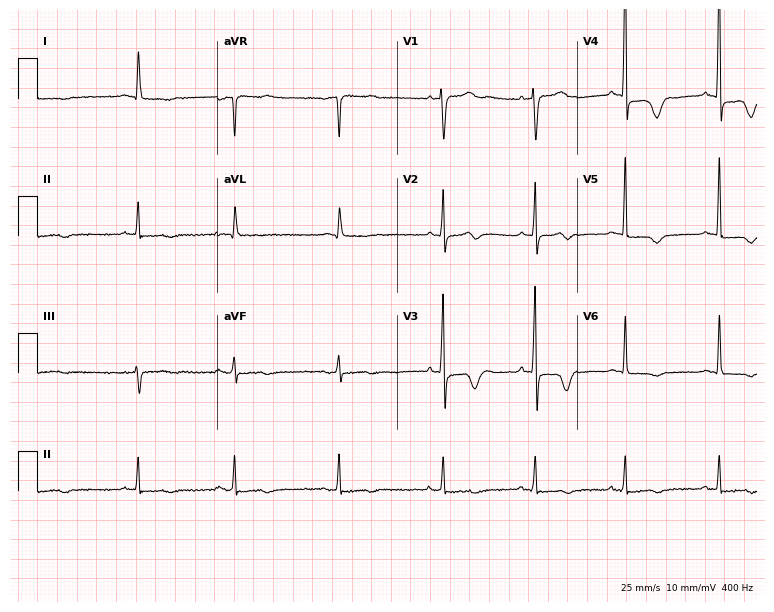
Standard 12-lead ECG recorded from a female patient, 83 years old (7.3-second recording at 400 Hz). None of these six findings is recorded: first-degree AV block, right bundle branch block (RBBB), left bundle branch block (LBBB), sinus bradycardia, atrial fibrillation (AF), sinus tachycardia. Findings outside these six are not listed.